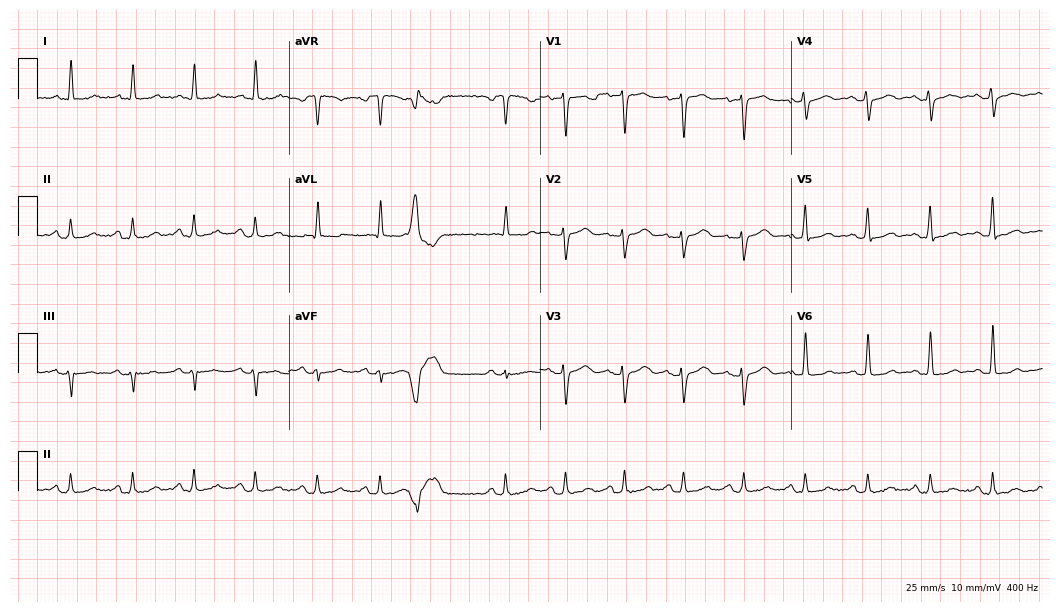
Standard 12-lead ECG recorded from a female, 61 years old (10.2-second recording at 400 Hz). None of these six findings is recorded: first-degree AV block, right bundle branch block, left bundle branch block, sinus bradycardia, atrial fibrillation, sinus tachycardia. Only these six findings were labelled.